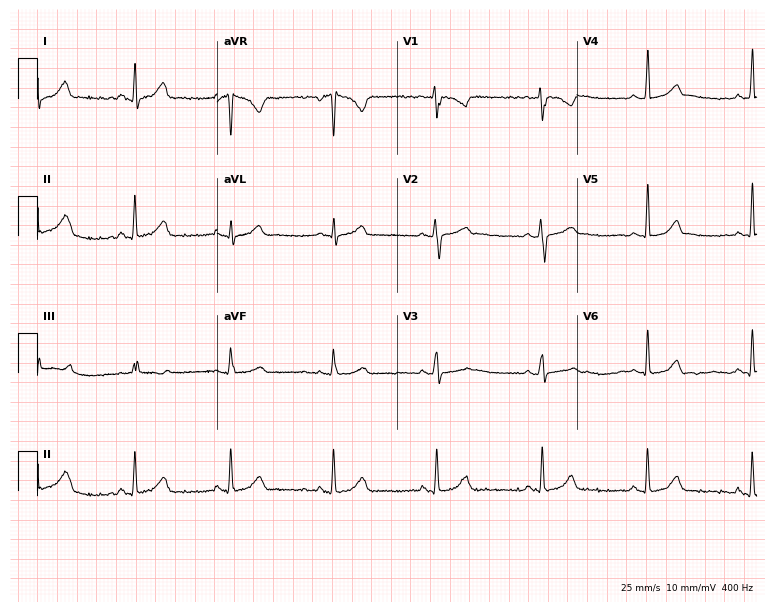
ECG — a 27-year-old female. Labelled as a normal ECG.